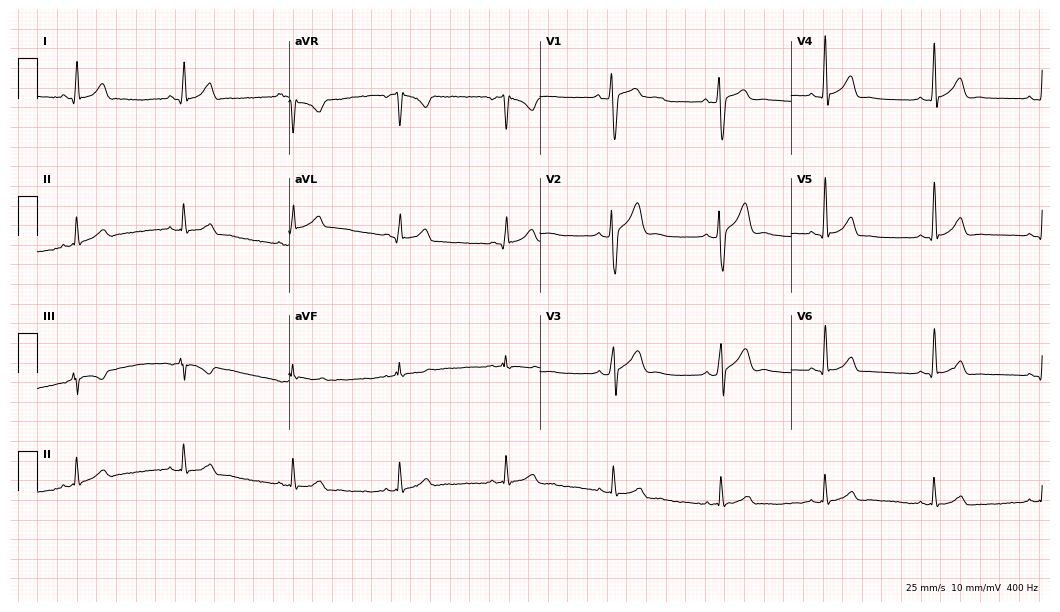
12-lead ECG (10.2-second recording at 400 Hz) from a 27-year-old male patient. Labelled as a normal ECG.